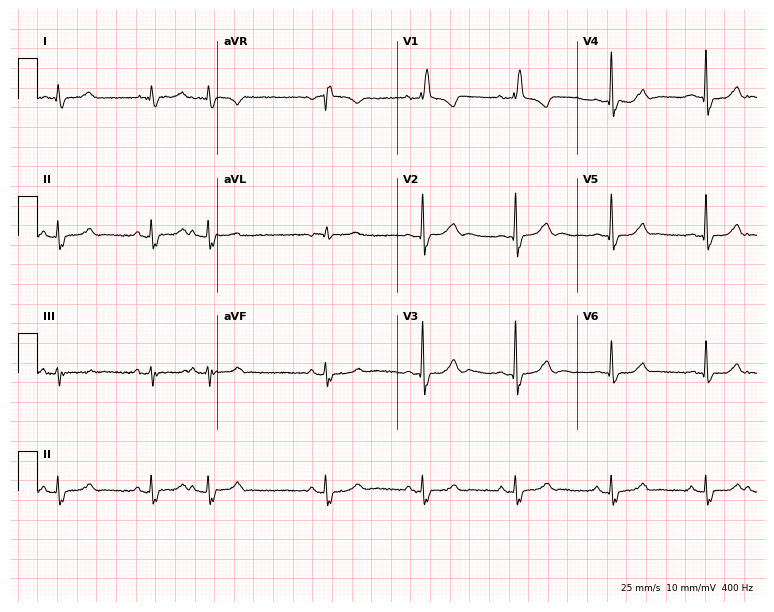
12-lead ECG from a 79-year-old man (7.3-second recording at 400 Hz). No first-degree AV block, right bundle branch block (RBBB), left bundle branch block (LBBB), sinus bradycardia, atrial fibrillation (AF) or sinus tachycardia recorded for this tracing.